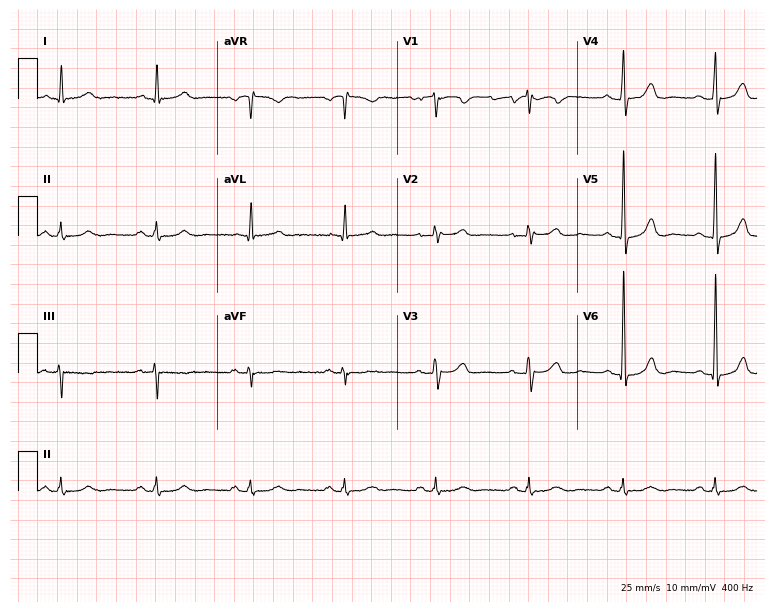
Standard 12-lead ECG recorded from a 69-year-old male (7.3-second recording at 400 Hz). Read as a normal ECG.